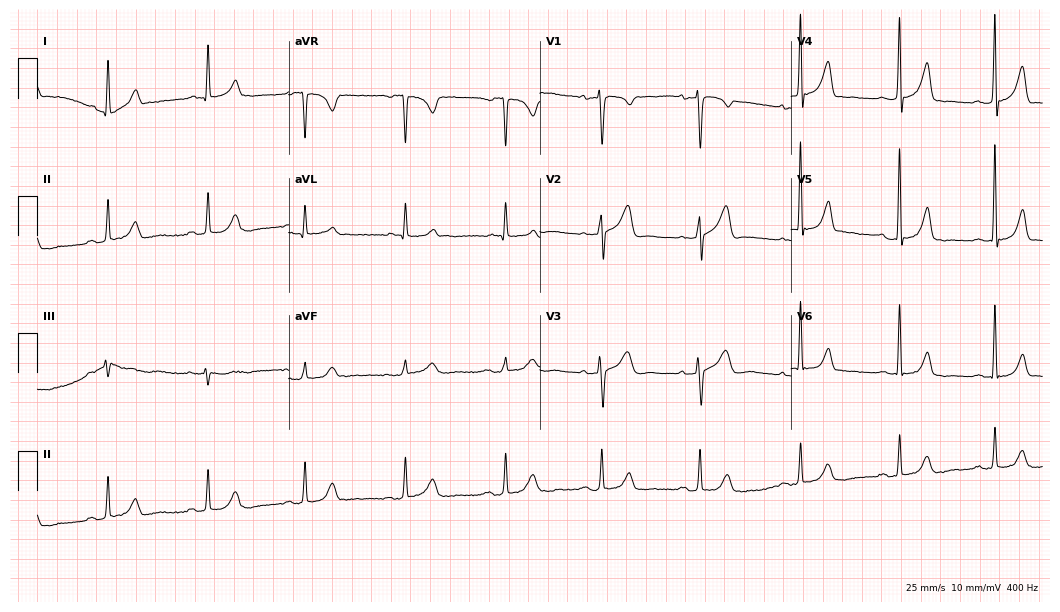
12-lead ECG from a male patient, 48 years old (10.2-second recording at 400 Hz). No first-degree AV block, right bundle branch block, left bundle branch block, sinus bradycardia, atrial fibrillation or sinus tachycardia recorded for this tracing. Only these six findings were labelled.